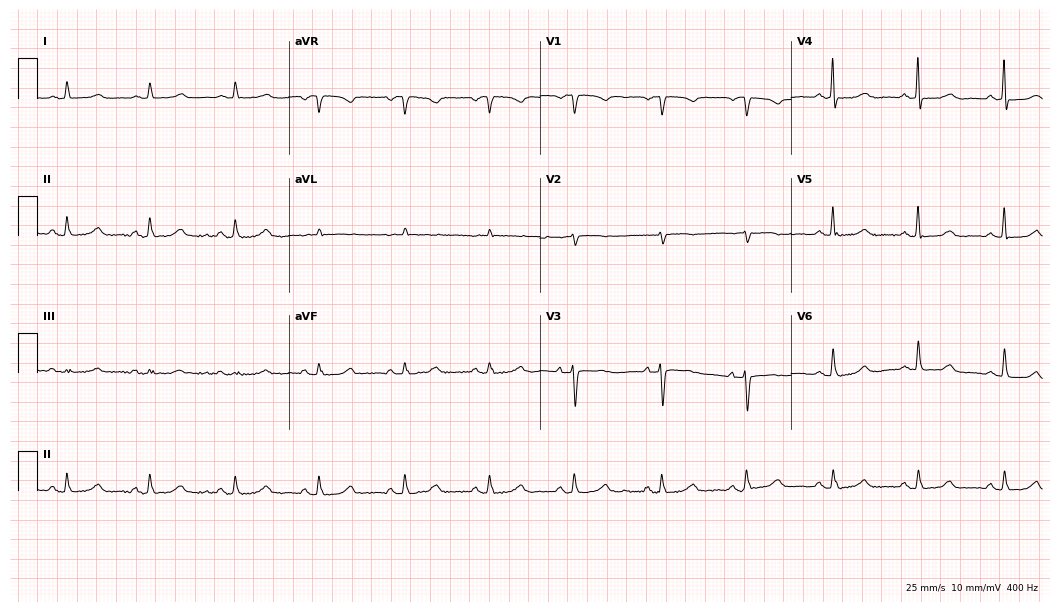
Electrocardiogram (10.2-second recording at 400 Hz), a woman, 70 years old. Of the six screened findings (first-degree AV block, right bundle branch block, left bundle branch block, sinus bradycardia, atrial fibrillation, sinus tachycardia), none is recorded. Findings outside these six are not listed.